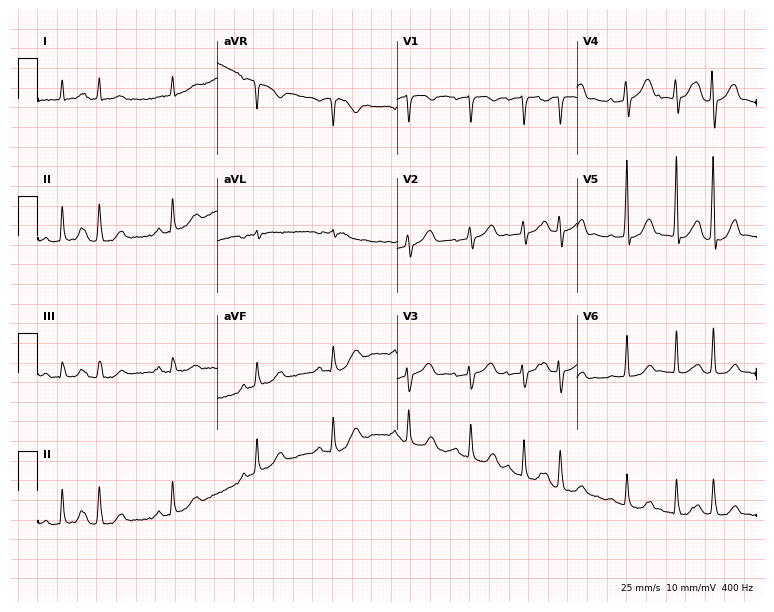
12-lead ECG from an 85-year-old female patient. Screened for six findings — first-degree AV block, right bundle branch block, left bundle branch block, sinus bradycardia, atrial fibrillation, sinus tachycardia — none is recorded.